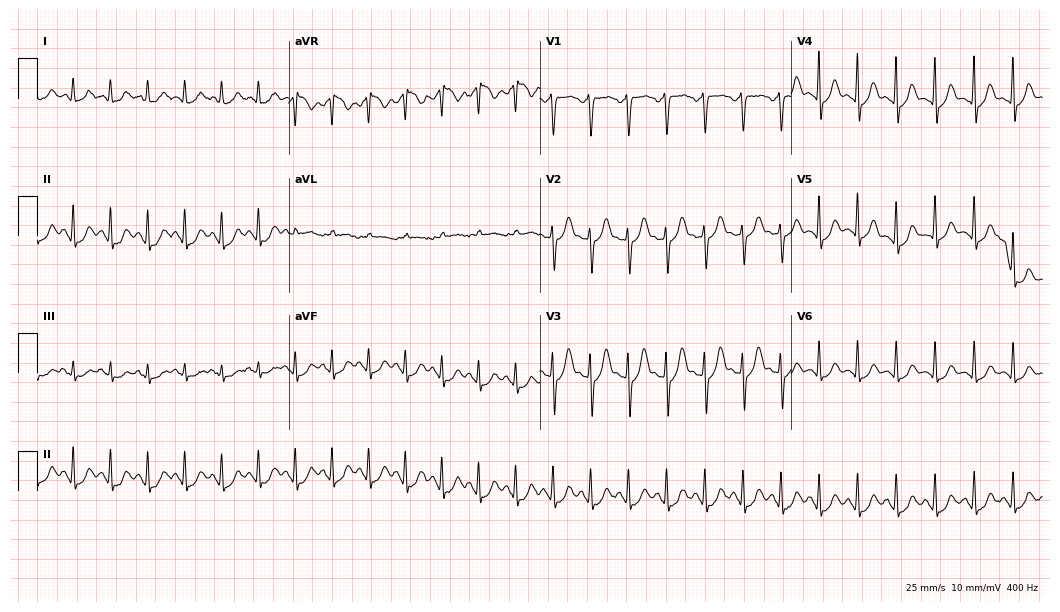
Electrocardiogram, a female, 39 years old. Interpretation includes sinus tachycardia (a sinus rate of 100 beats per minute or more).